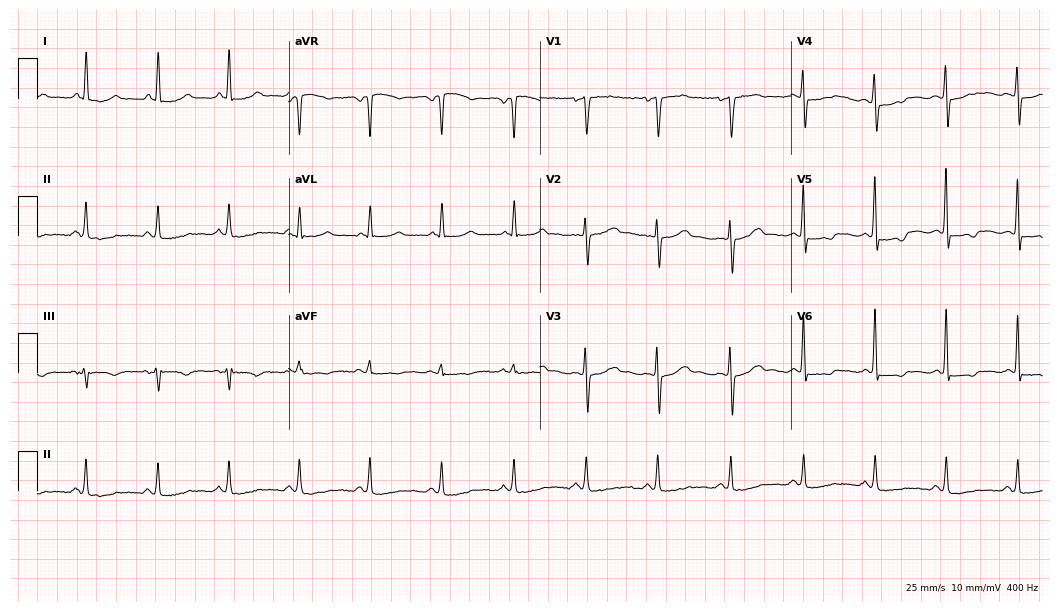
Resting 12-lead electrocardiogram. Patient: a female, 56 years old. None of these six findings is recorded: first-degree AV block, right bundle branch block (RBBB), left bundle branch block (LBBB), sinus bradycardia, atrial fibrillation (AF), sinus tachycardia. Only these six findings were labelled.